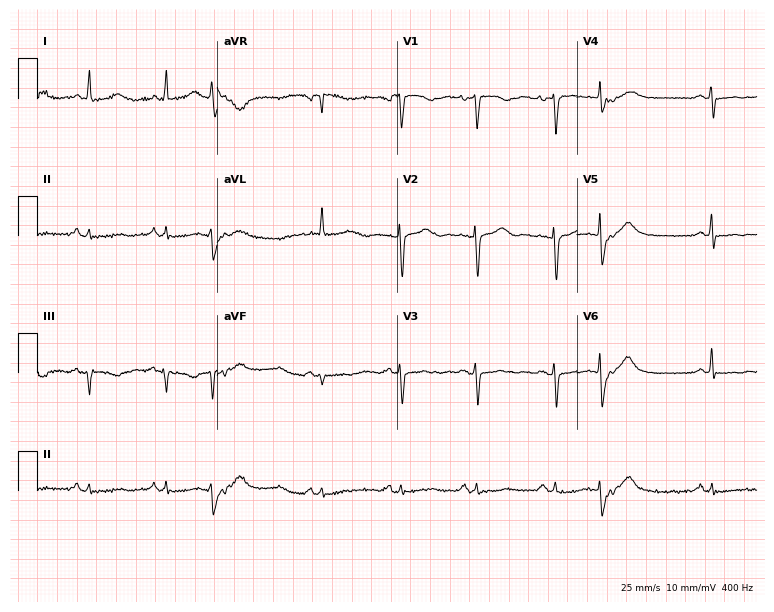
12-lead ECG from a 73-year-old woman. No first-degree AV block, right bundle branch block (RBBB), left bundle branch block (LBBB), sinus bradycardia, atrial fibrillation (AF) or sinus tachycardia recorded for this tracing.